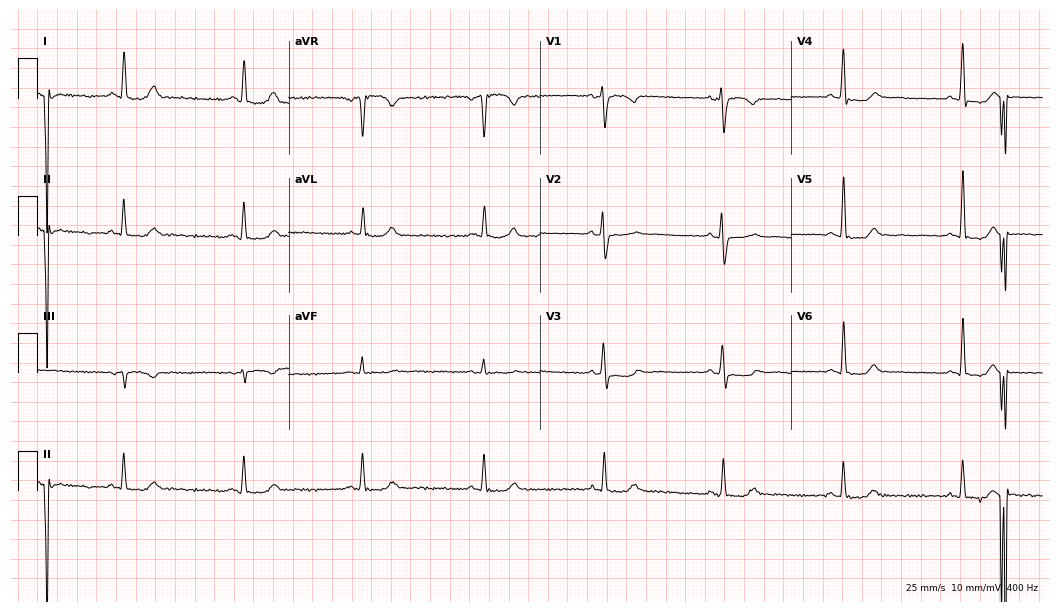
12-lead ECG from a 72-year-old female patient. Findings include sinus bradycardia (a sinus rate of 50 beats per minute or less).